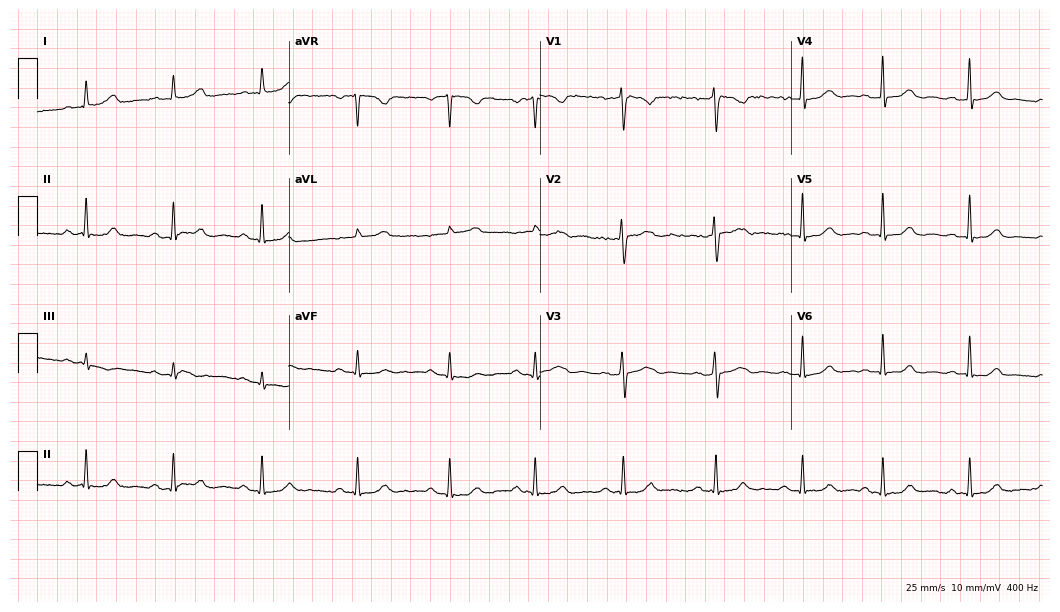
12-lead ECG from a woman, 38 years old. Labelled as a normal ECG.